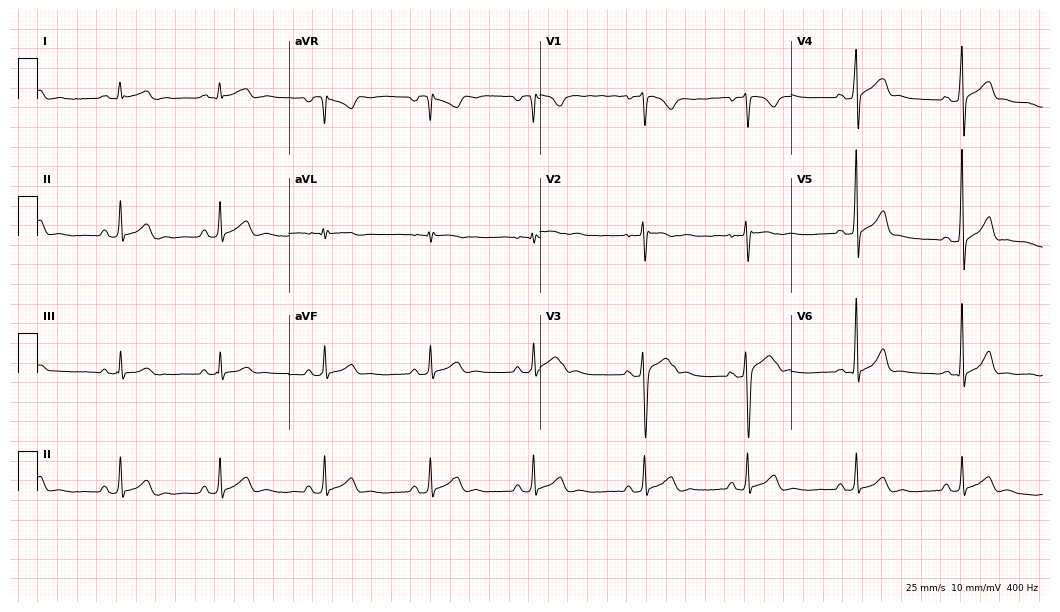
Electrocardiogram, a man, 20 years old. Overall reading on record: normal ECG.